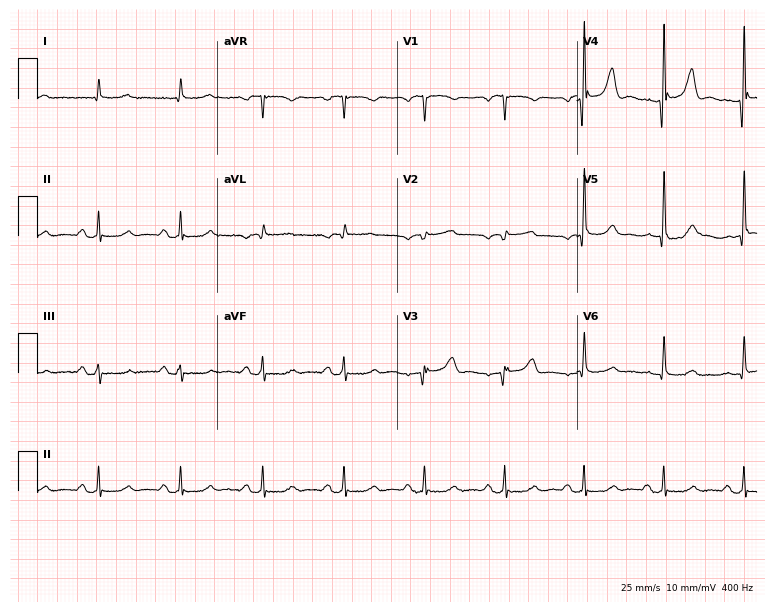
ECG — an 85-year-old male patient. Labelled as a normal ECG.